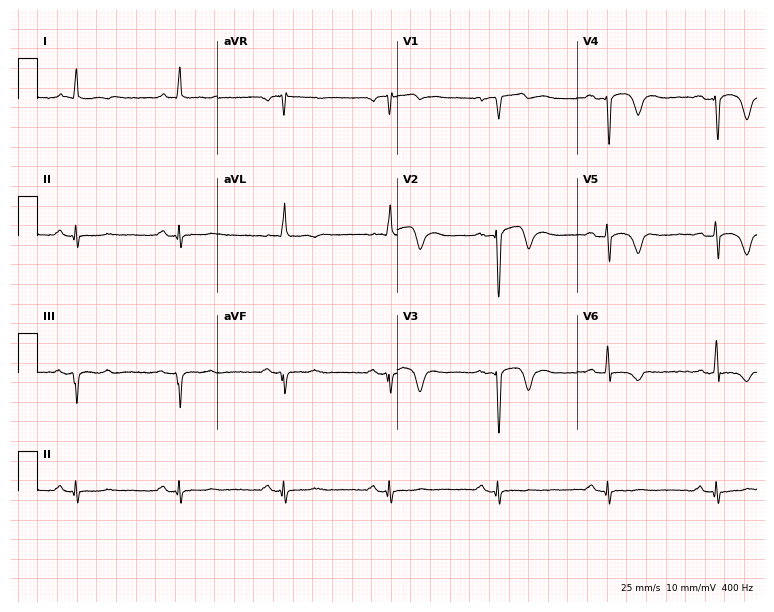
12-lead ECG from a 76-year-old male. No first-degree AV block, right bundle branch block, left bundle branch block, sinus bradycardia, atrial fibrillation or sinus tachycardia recorded for this tracing.